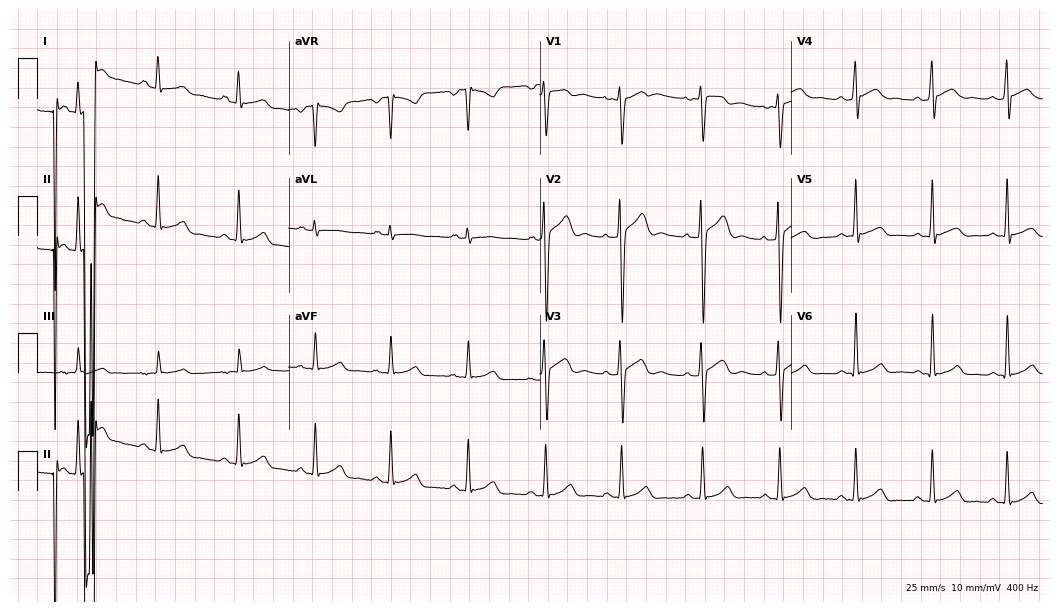
12-lead ECG from a 17-year-old male patient (10.2-second recording at 400 Hz). Recorded interpretation: within normal limits.